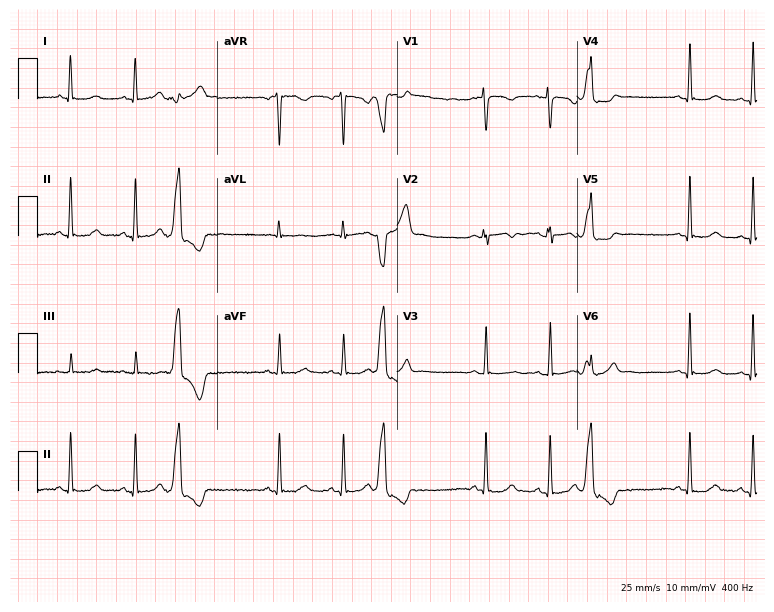
Electrocardiogram (7.3-second recording at 400 Hz), an 18-year-old female patient. Of the six screened findings (first-degree AV block, right bundle branch block, left bundle branch block, sinus bradycardia, atrial fibrillation, sinus tachycardia), none is recorded.